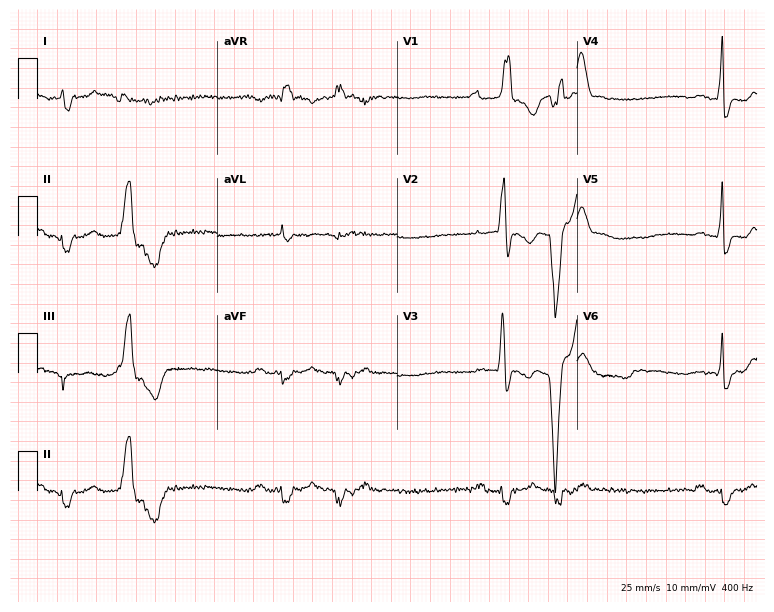
Standard 12-lead ECG recorded from a 57-year-old male patient. The tracing shows first-degree AV block, right bundle branch block (RBBB).